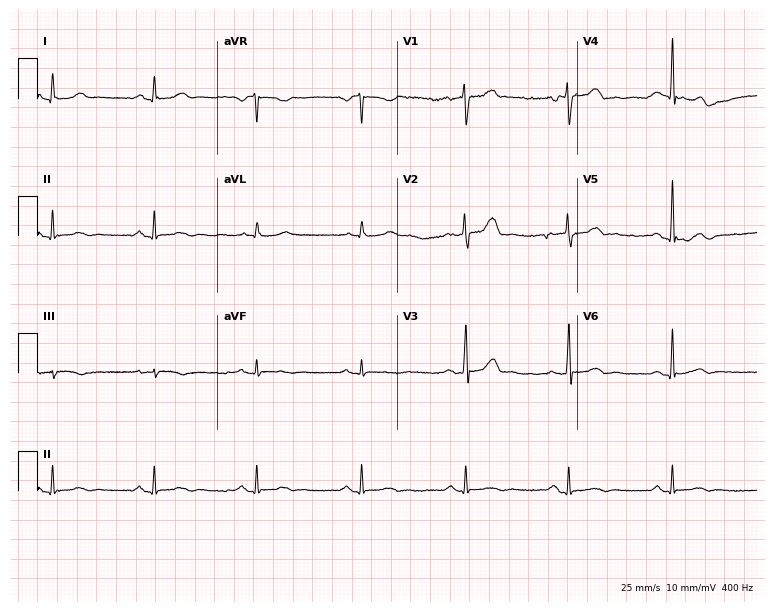
12-lead ECG from a man, 42 years old (7.3-second recording at 400 Hz). Recorded interpretation: within normal limits.